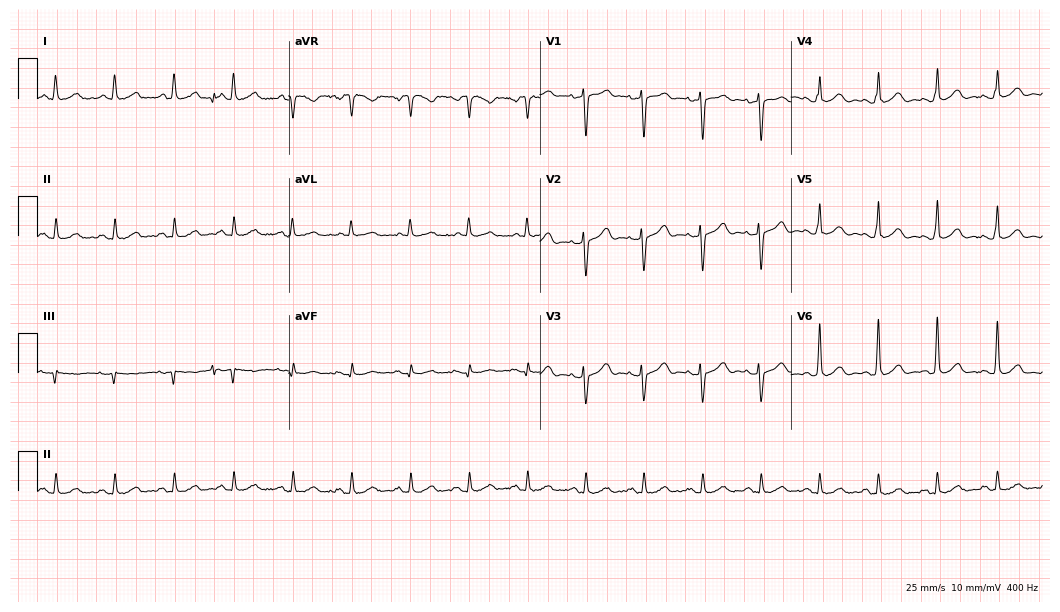
Standard 12-lead ECG recorded from a woman, 58 years old (10.2-second recording at 400 Hz). Read as a normal ECG.